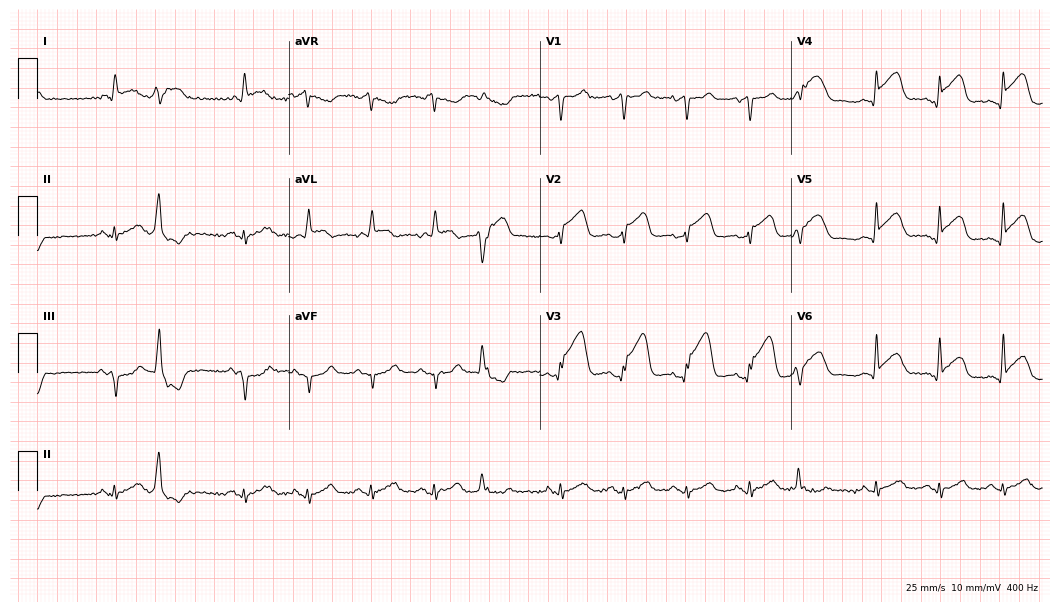
12-lead ECG (10.2-second recording at 400 Hz) from an 84-year-old male patient. Screened for six findings — first-degree AV block, right bundle branch block, left bundle branch block, sinus bradycardia, atrial fibrillation, sinus tachycardia — none is recorded.